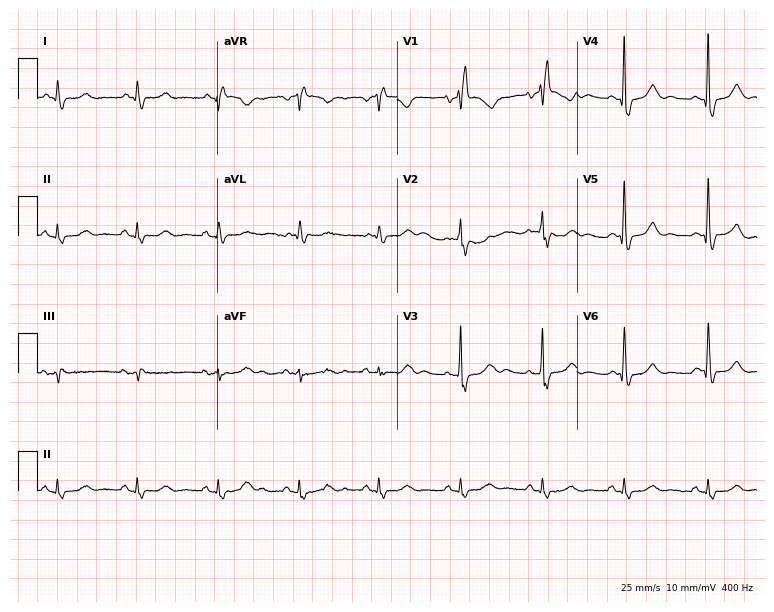
Resting 12-lead electrocardiogram. Patient: a female, 78 years old. The tracing shows right bundle branch block.